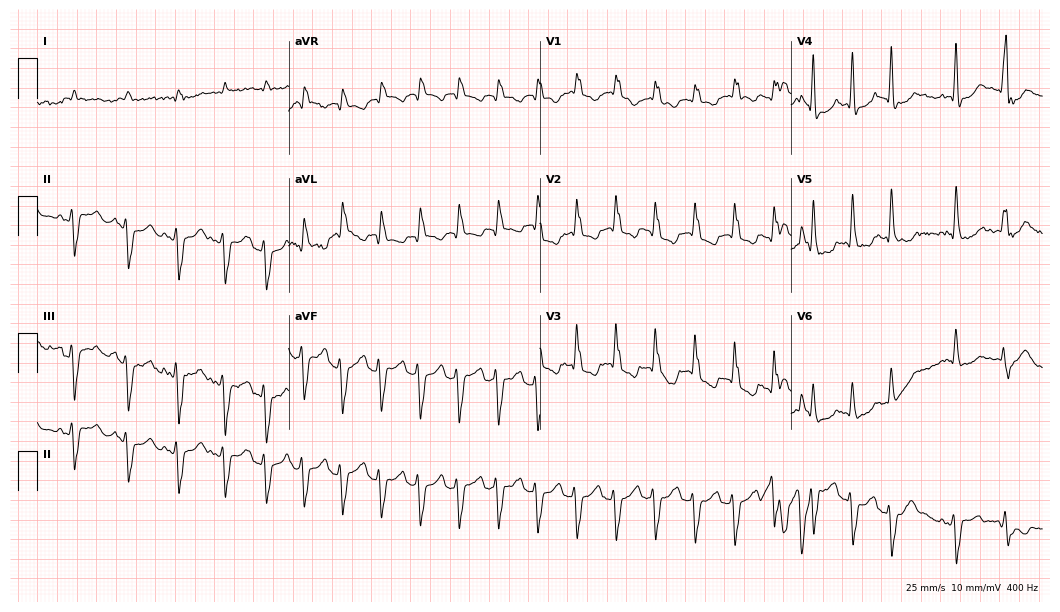
Electrocardiogram (10.2-second recording at 400 Hz), a woman, 83 years old. Interpretation includes right bundle branch block, atrial fibrillation.